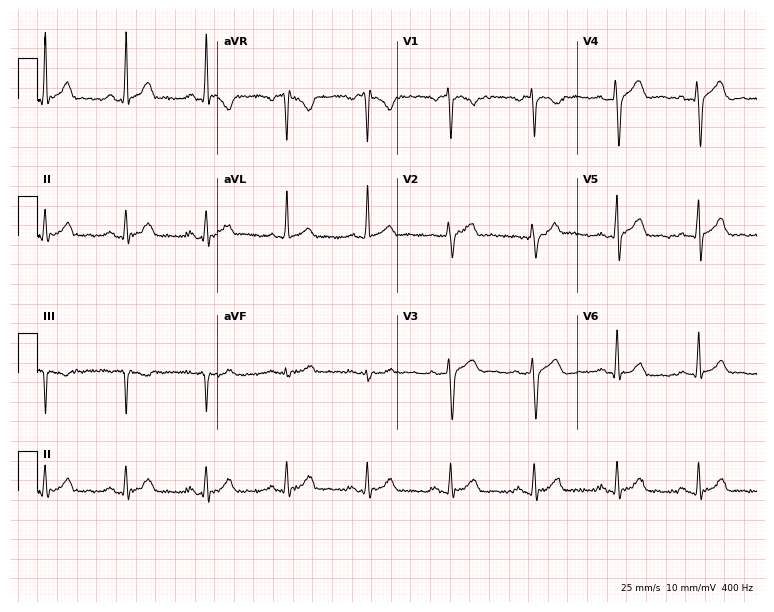
Standard 12-lead ECG recorded from a male patient, 38 years old. Read as a normal ECG.